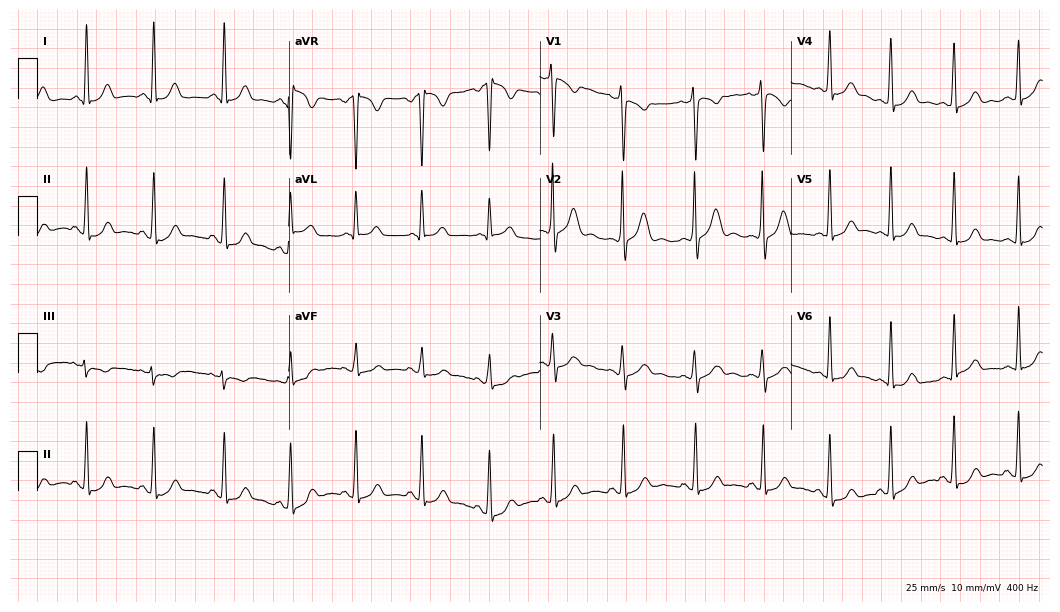
Resting 12-lead electrocardiogram (10.2-second recording at 400 Hz). Patient: a 21-year-old woman. Read as a normal ECG.